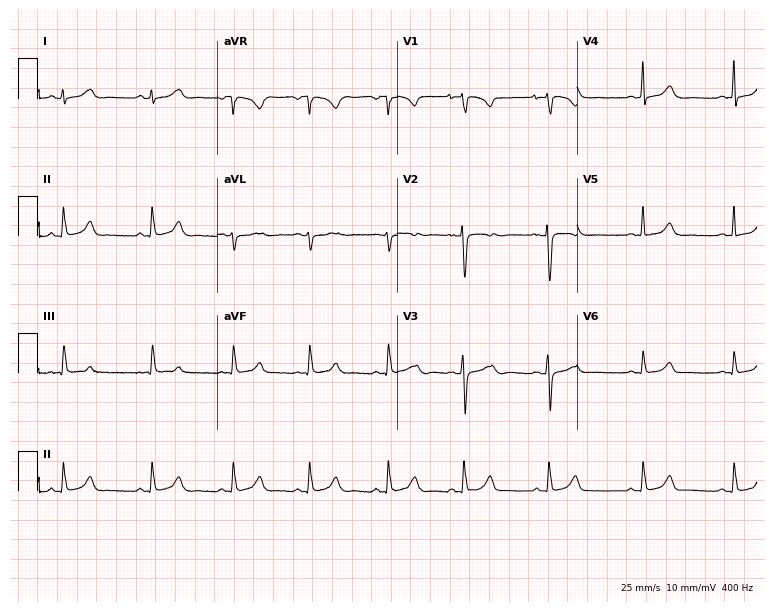
Resting 12-lead electrocardiogram (7.3-second recording at 400 Hz). Patient: a 19-year-old woman. Read as a normal ECG.